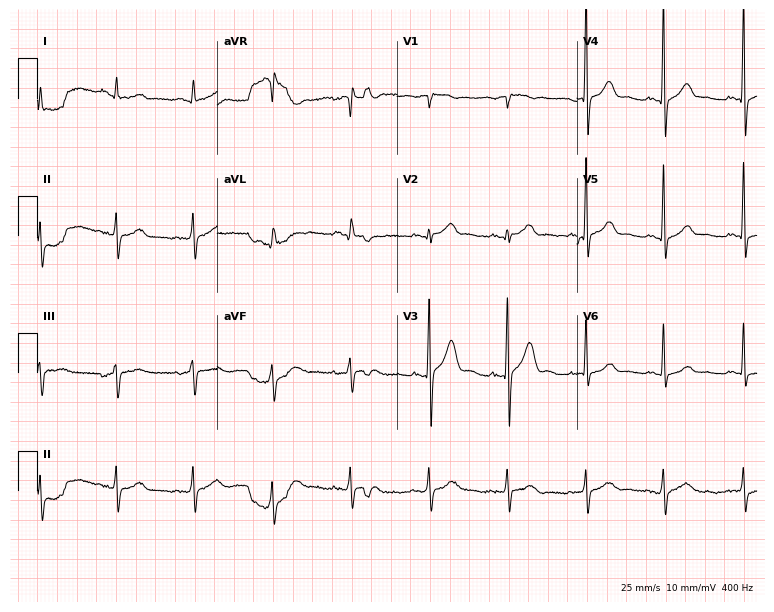
Standard 12-lead ECG recorded from a man, 73 years old. None of these six findings is recorded: first-degree AV block, right bundle branch block (RBBB), left bundle branch block (LBBB), sinus bradycardia, atrial fibrillation (AF), sinus tachycardia.